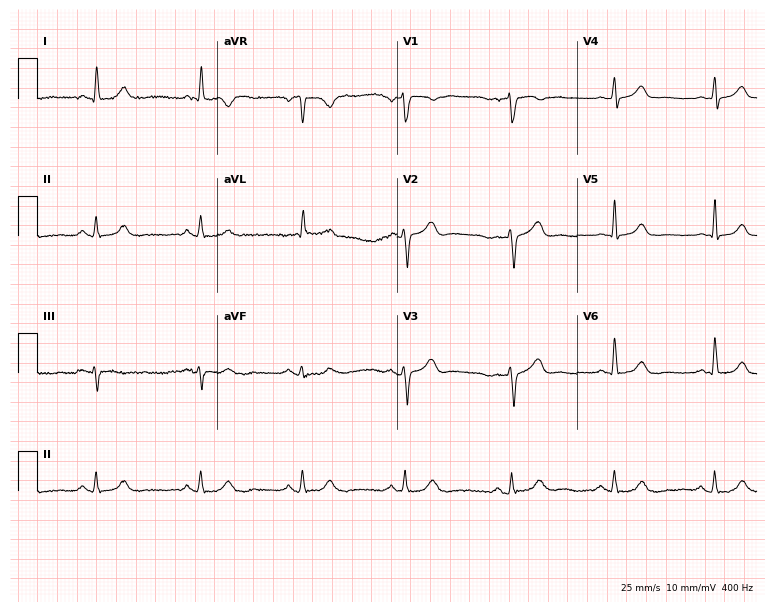
Resting 12-lead electrocardiogram (7.3-second recording at 400 Hz). Patient: an 83-year-old man. None of these six findings is recorded: first-degree AV block, right bundle branch block, left bundle branch block, sinus bradycardia, atrial fibrillation, sinus tachycardia.